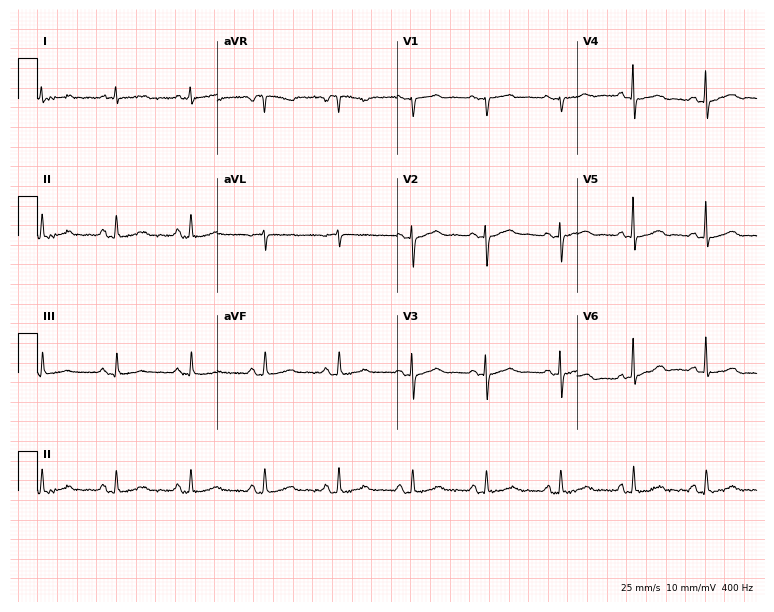
Standard 12-lead ECG recorded from a woman, 72 years old. Read as a normal ECG.